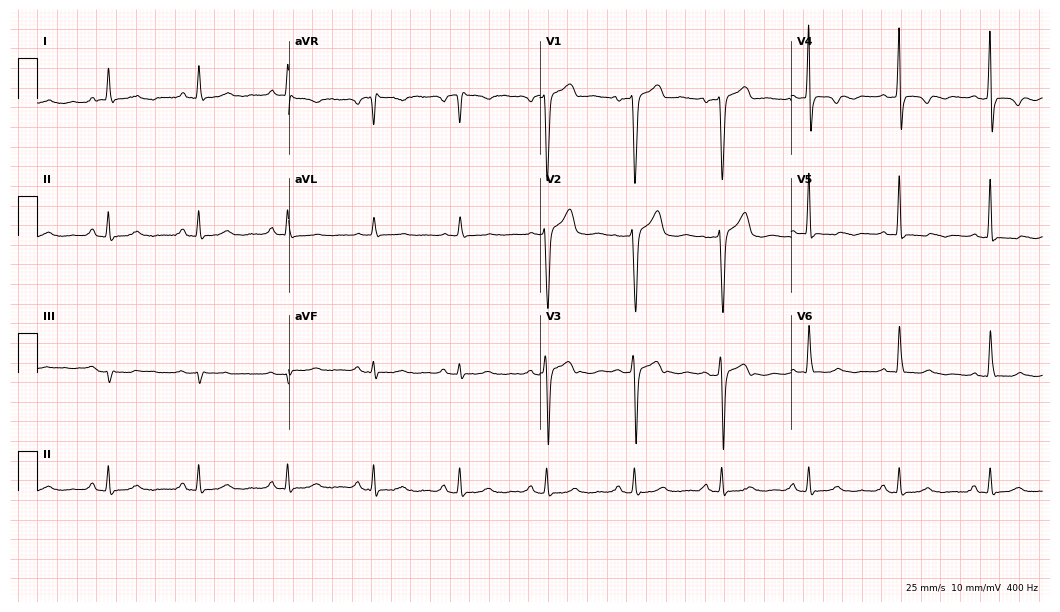
Standard 12-lead ECG recorded from a 52-year-old man. None of these six findings is recorded: first-degree AV block, right bundle branch block (RBBB), left bundle branch block (LBBB), sinus bradycardia, atrial fibrillation (AF), sinus tachycardia. Findings outside these six are not listed.